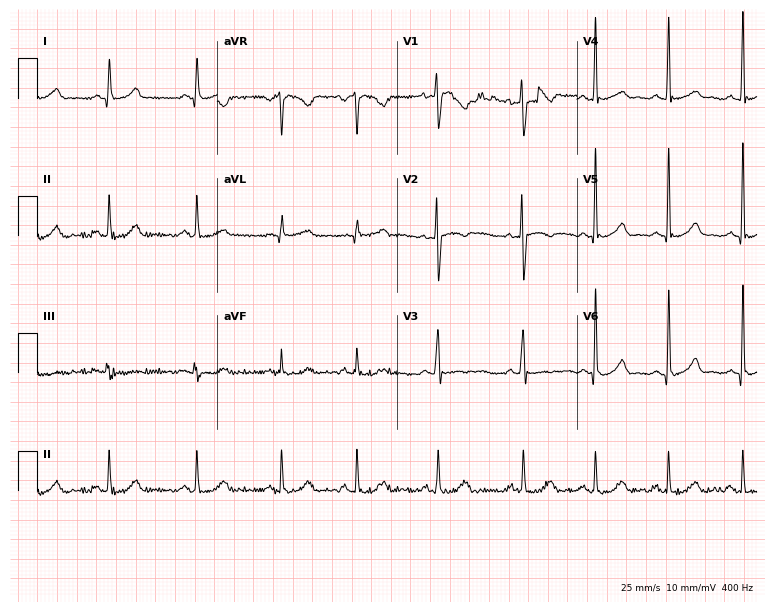
Electrocardiogram, a 25-year-old woman. Of the six screened findings (first-degree AV block, right bundle branch block, left bundle branch block, sinus bradycardia, atrial fibrillation, sinus tachycardia), none is recorded. Findings outside these six are not listed.